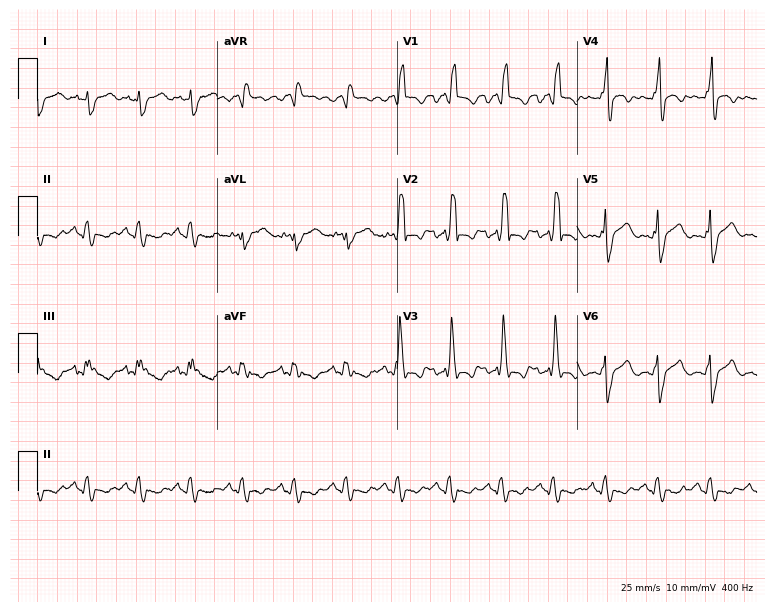
Standard 12-lead ECG recorded from a 42-year-old male. The tracing shows right bundle branch block (RBBB), sinus tachycardia (a sinus rate of 100 beats per minute or more).